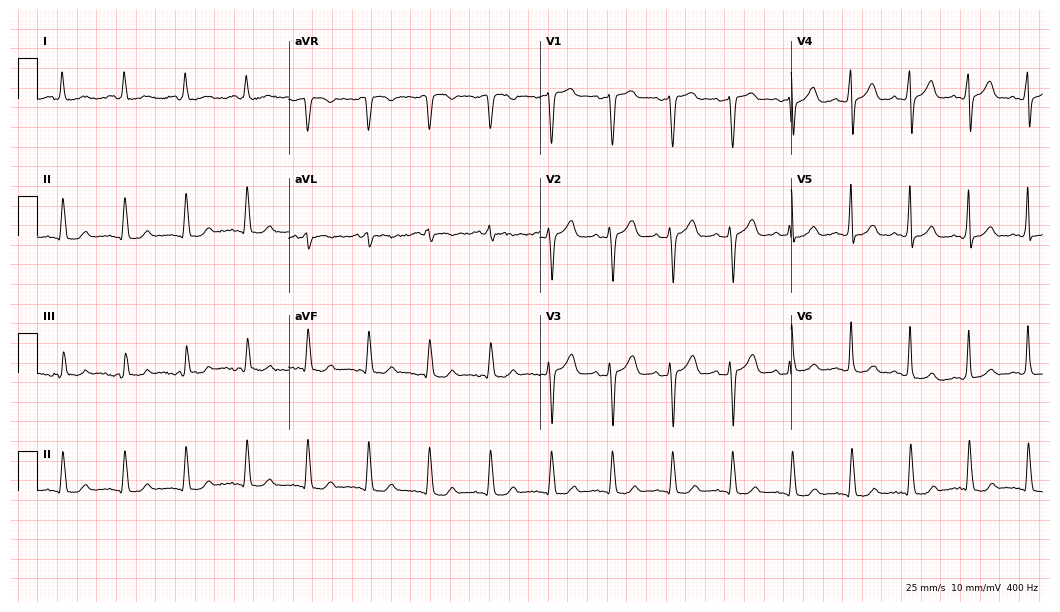
ECG (10.2-second recording at 400 Hz) — a female patient, 71 years old. Screened for six findings — first-degree AV block, right bundle branch block, left bundle branch block, sinus bradycardia, atrial fibrillation, sinus tachycardia — none is recorded. Findings outside these six are not listed.